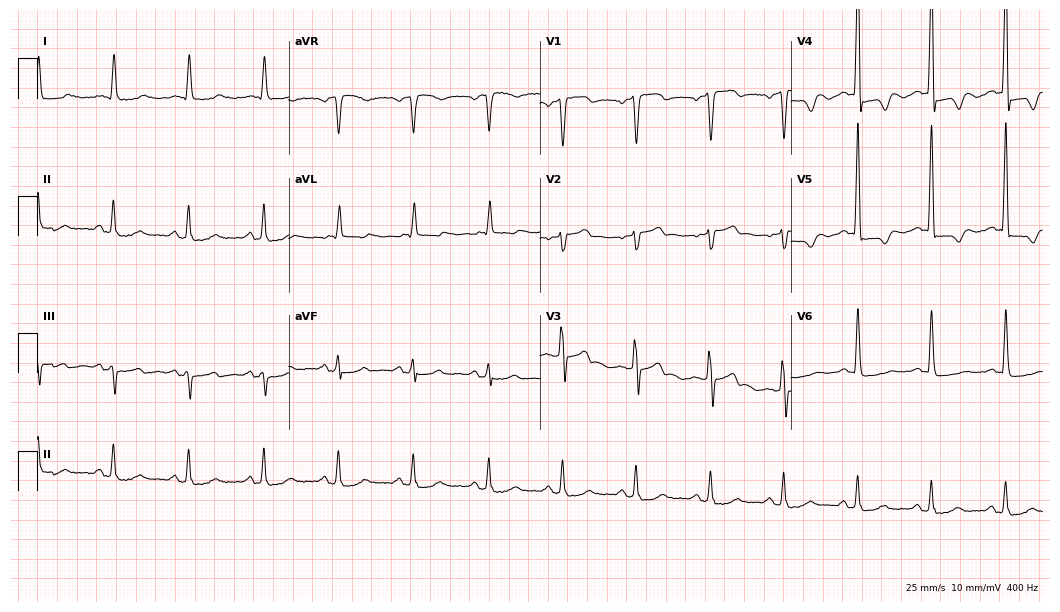
12-lead ECG from an 85-year-old man. No first-degree AV block, right bundle branch block (RBBB), left bundle branch block (LBBB), sinus bradycardia, atrial fibrillation (AF) or sinus tachycardia recorded for this tracing.